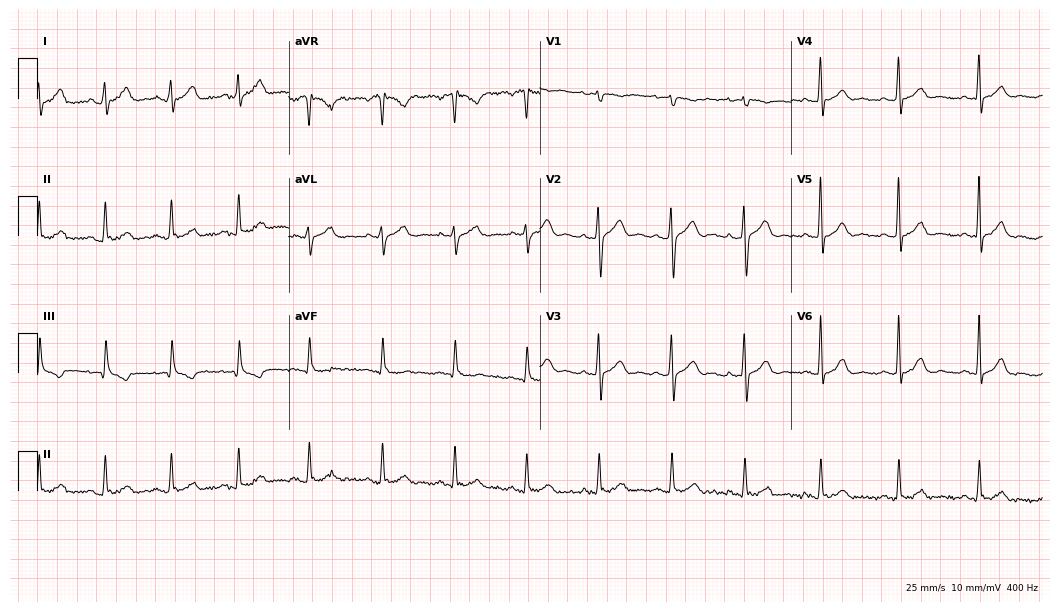
Electrocardiogram (10.2-second recording at 400 Hz), a 37-year-old man. Overall reading on record: normal ECG.